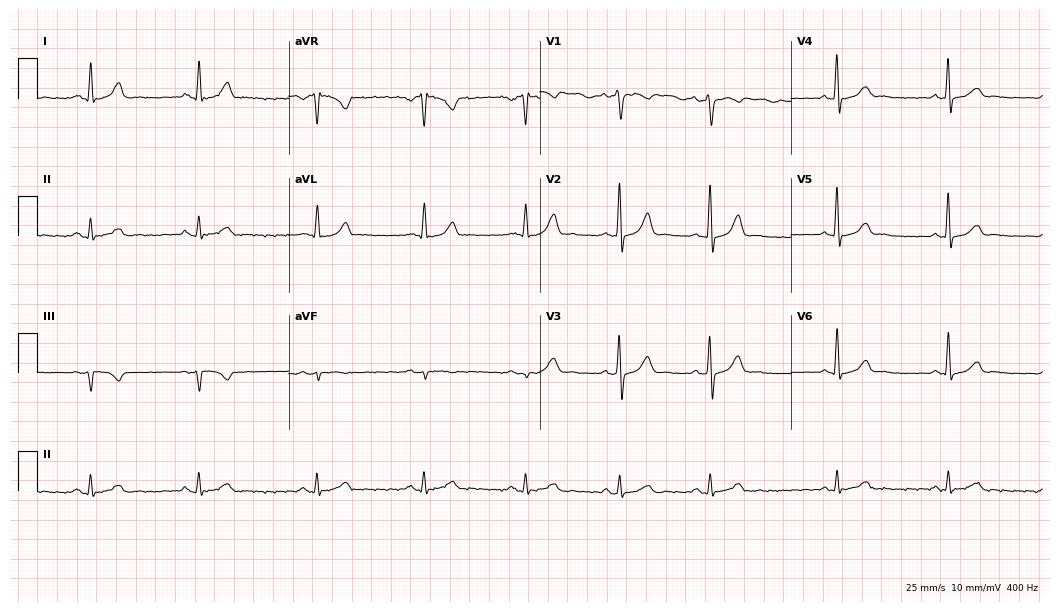
12-lead ECG from a female patient, 46 years old. Recorded interpretation: within normal limits.